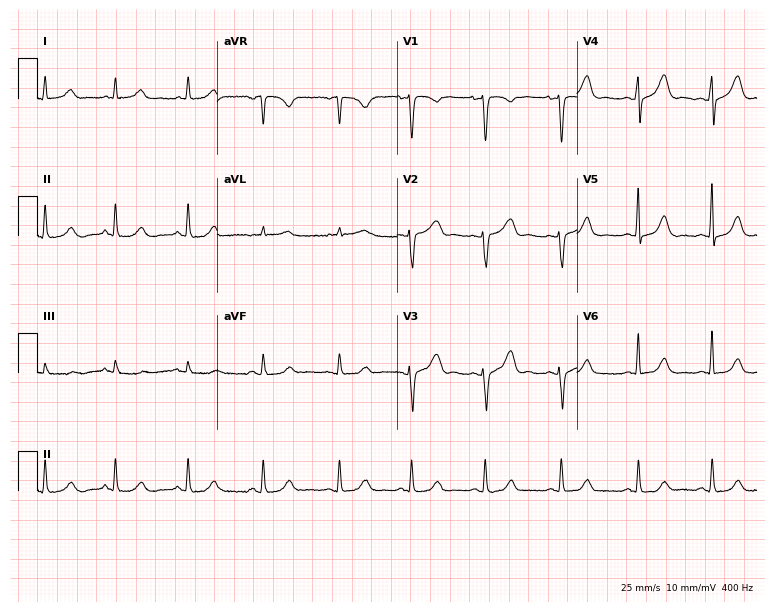
12-lead ECG (7.3-second recording at 400 Hz) from a 29-year-old woman. Screened for six findings — first-degree AV block, right bundle branch block (RBBB), left bundle branch block (LBBB), sinus bradycardia, atrial fibrillation (AF), sinus tachycardia — none is recorded.